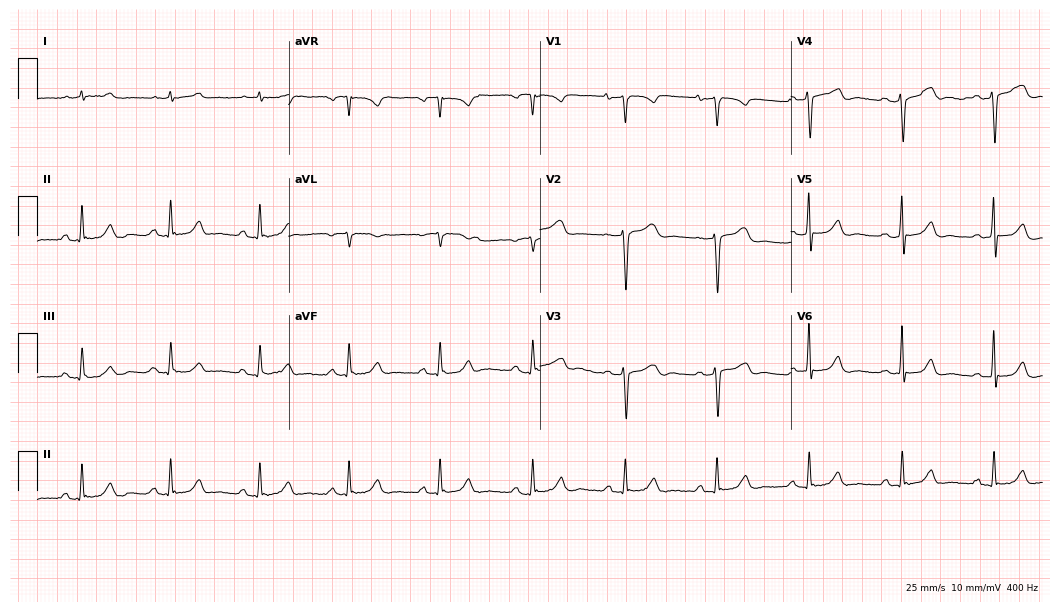
Electrocardiogram, a 65-year-old male. Of the six screened findings (first-degree AV block, right bundle branch block, left bundle branch block, sinus bradycardia, atrial fibrillation, sinus tachycardia), none is recorded. Other findings, if any, are not listed.